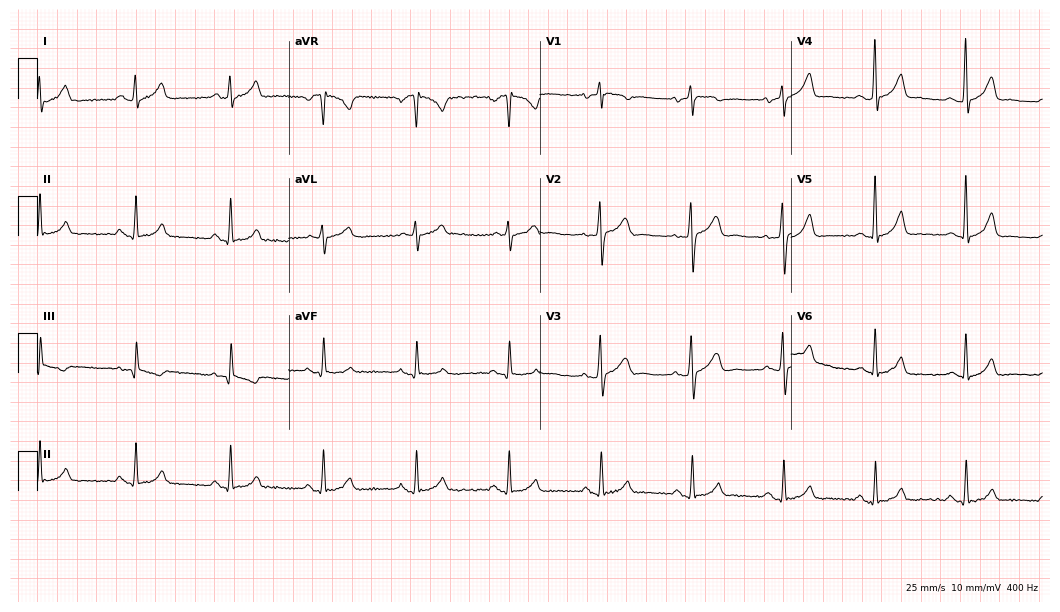
Standard 12-lead ECG recorded from a 31-year-old male patient (10.2-second recording at 400 Hz). None of these six findings is recorded: first-degree AV block, right bundle branch block, left bundle branch block, sinus bradycardia, atrial fibrillation, sinus tachycardia. Other findings, if any, are not listed.